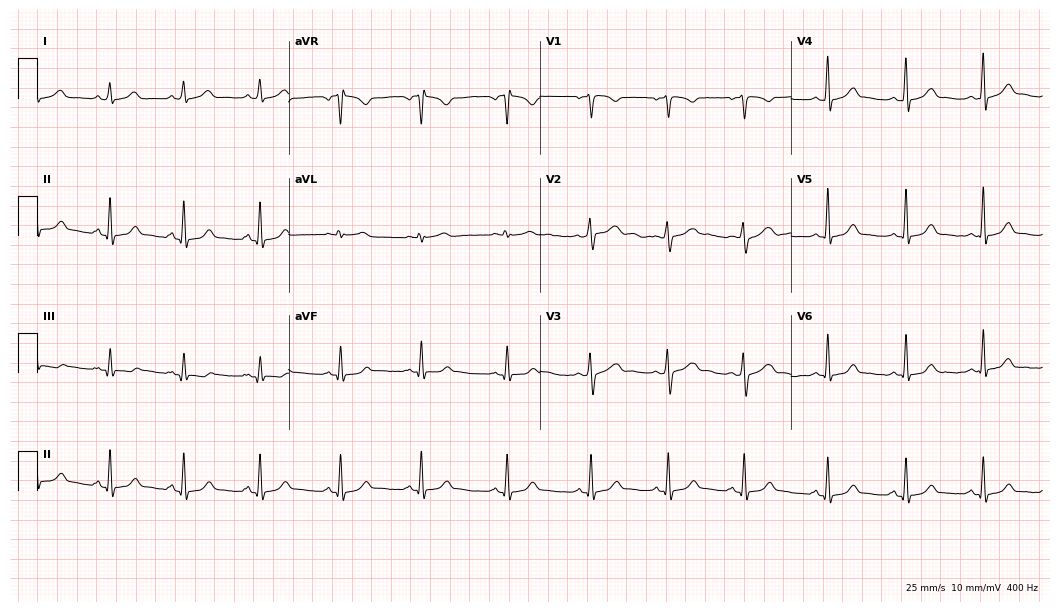
ECG — a 42-year-old female patient. Labelled as a normal ECG.